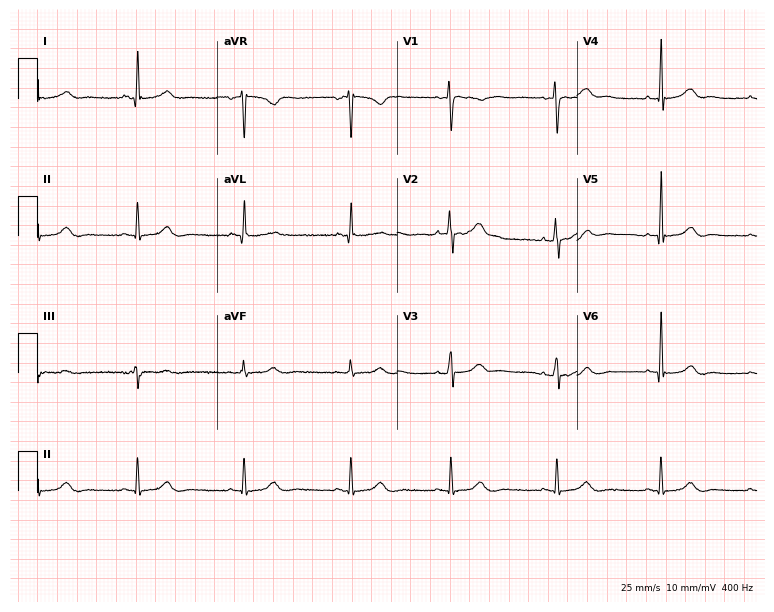
Electrocardiogram, a 41-year-old female patient. Of the six screened findings (first-degree AV block, right bundle branch block, left bundle branch block, sinus bradycardia, atrial fibrillation, sinus tachycardia), none is recorded.